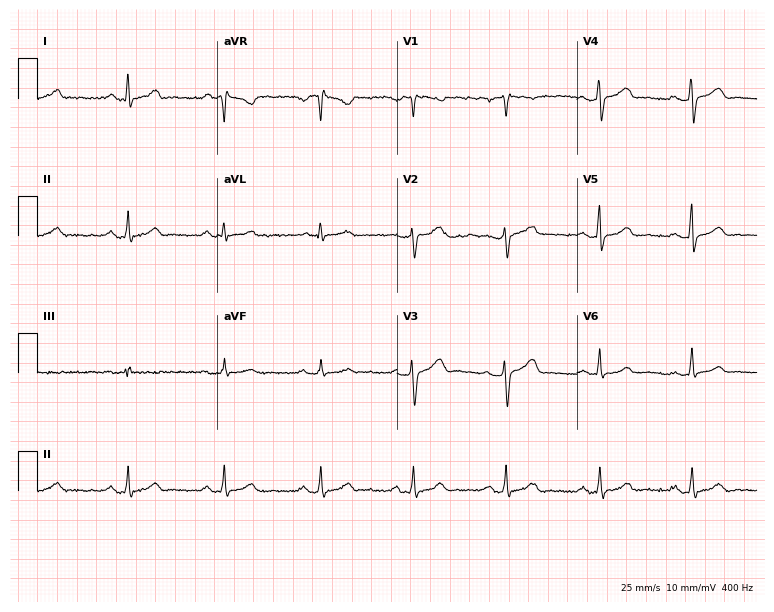
Standard 12-lead ECG recorded from a female patient, 34 years old. Read as a normal ECG.